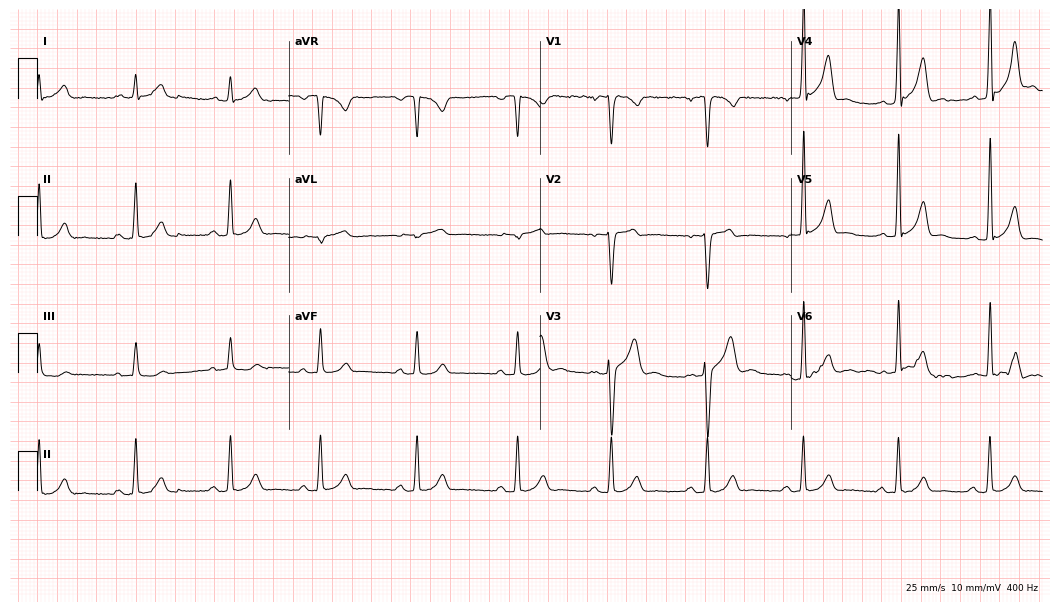
ECG — a male, 22 years old. Screened for six findings — first-degree AV block, right bundle branch block, left bundle branch block, sinus bradycardia, atrial fibrillation, sinus tachycardia — none is recorded.